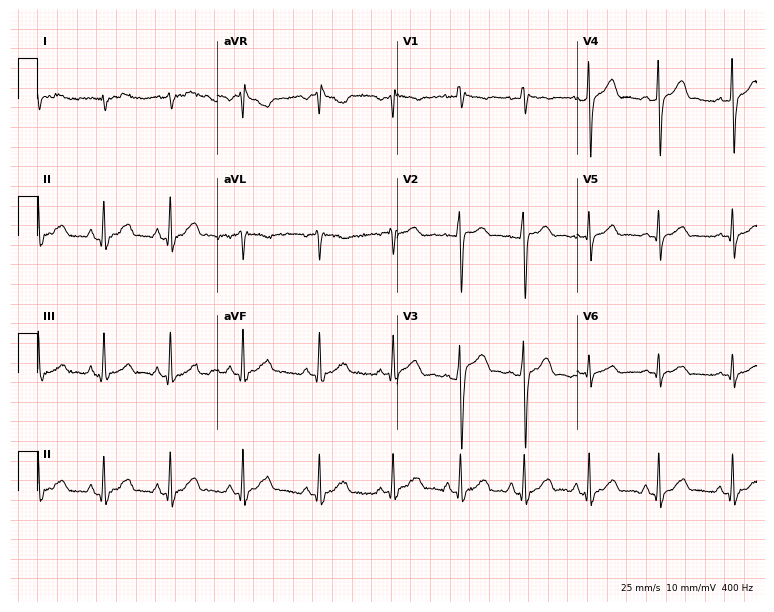
12-lead ECG from a 19-year-old male patient (7.3-second recording at 400 Hz). No first-degree AV block, right bundle branch block, left bundle branch block, sinus bradycardia, atrial fibrillation or sinus tachycardia recorded for this tracing.